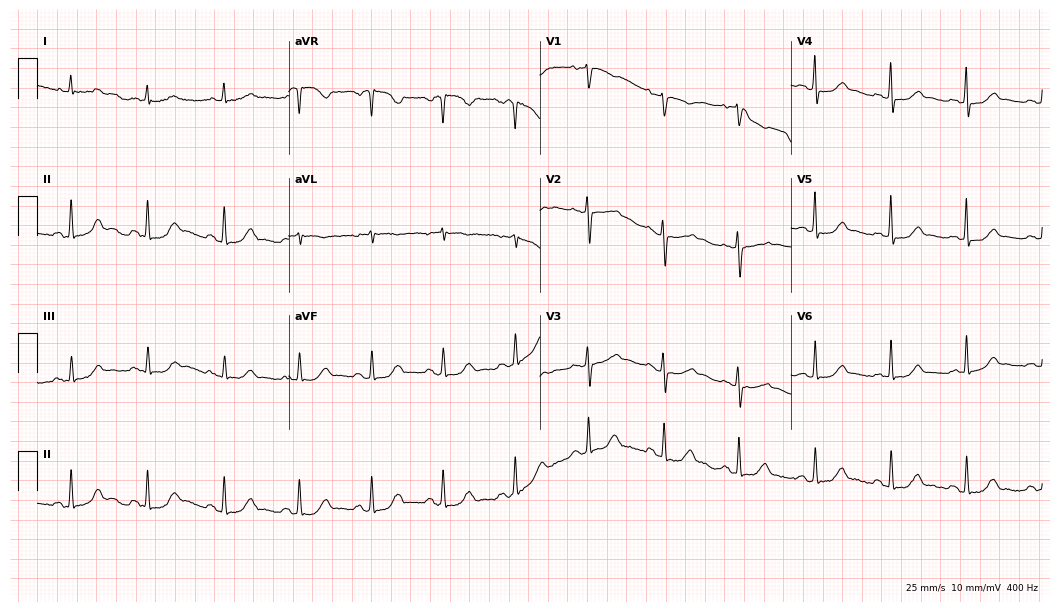
Electrocardiogram, a 72-year-old female. Overall reading on record: normal ECG.